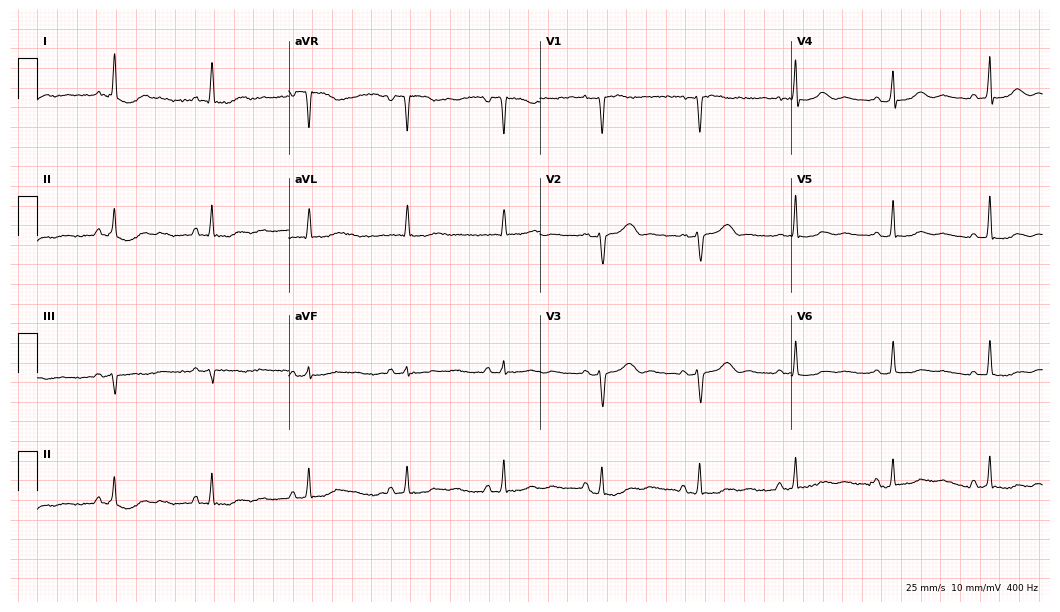
12-lead ECG from a 79-year-old female. Screened for six findings — first-degree AV block, right bundle branch block (RBBB), left bundle branch block (LBBB), sinus bradycardia, atrial fibrillation (AF), sinus tachycardia — none is recorded. Other findings, if any, are not listed.